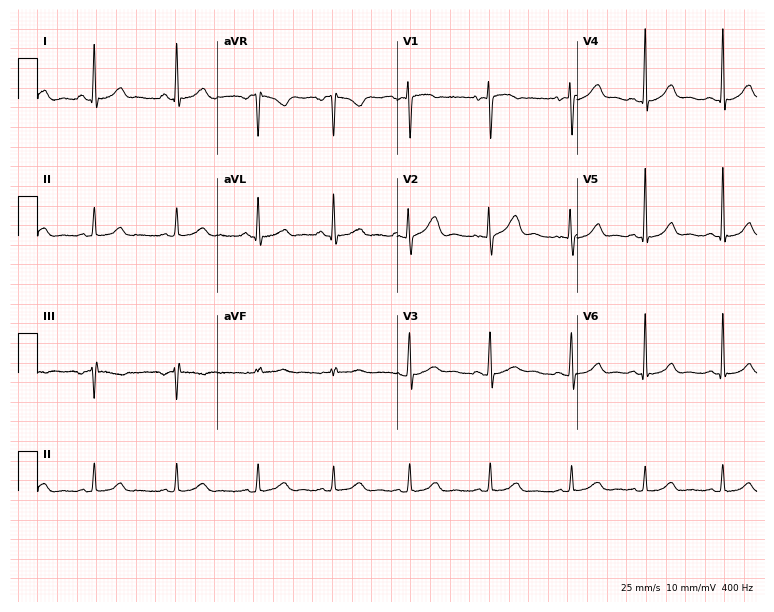
ECG (7.3-second recording at 400 Hz) — a 17-year-old female patient. Labelled as a normal ECG.